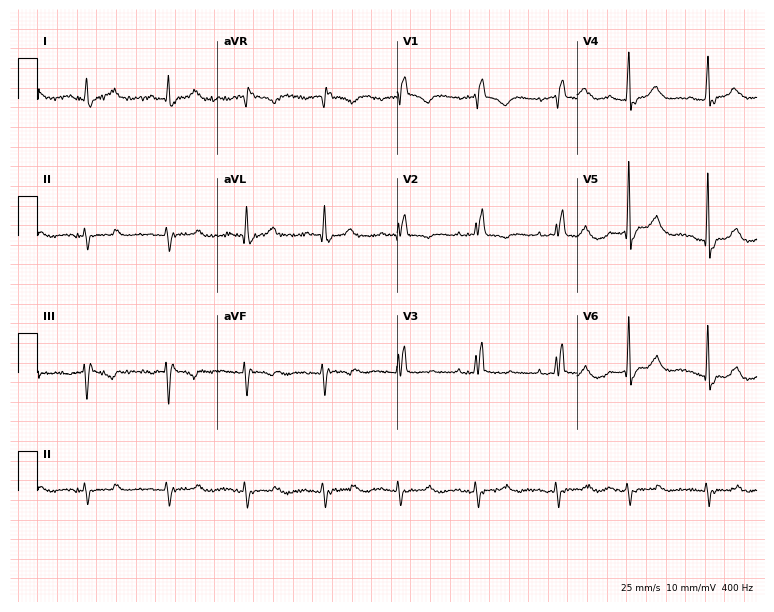
12-lead ECG from a 70-year-old woman. Shows right bundle branch block.